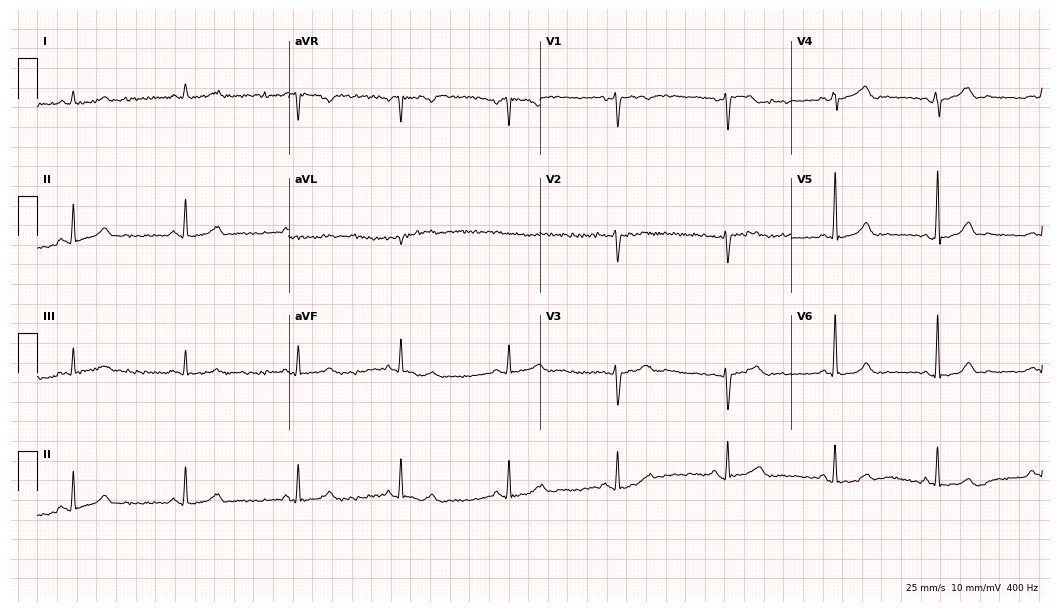
Standard 12-lead ECG recorded from a female patient, 52 years old. Read as a normal ECG.